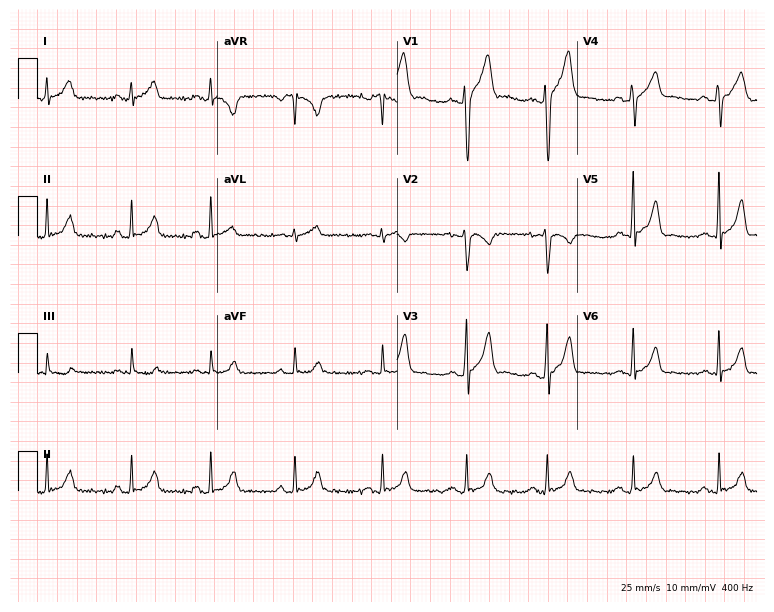
12-lead ECG from a 34-year-old man. No first-degree AV block, right bundle branch block, left bundle branch block, sinus bradycardia, atrial fibrillation or sinus tachycardia recorded for this tracing. Other findings, if any, are not listed.